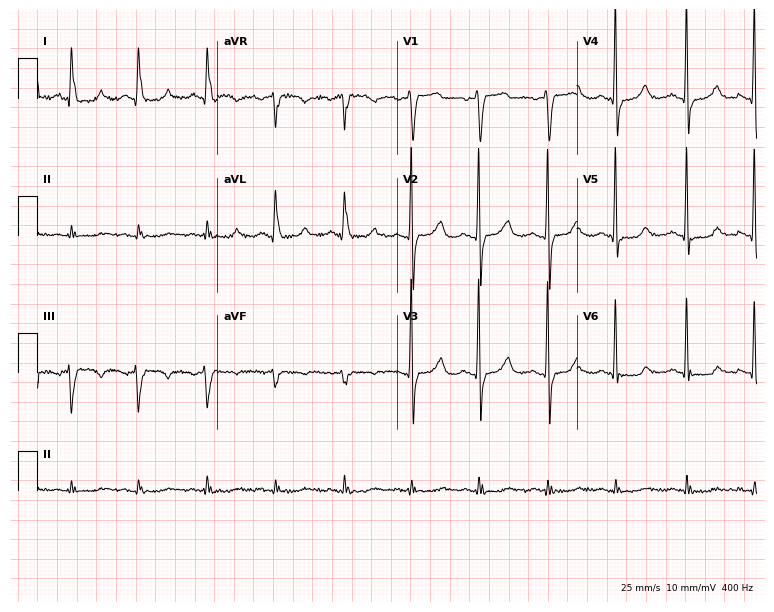
ECG — a female patient, 79 years old. Screened for six findings — first-degree AV block, right bundle branch block (RBBB), left bundle branch block (LBBB), sinus bradycardia, atrial fibrillation (AF), sinus tachycardia — none is recorded.